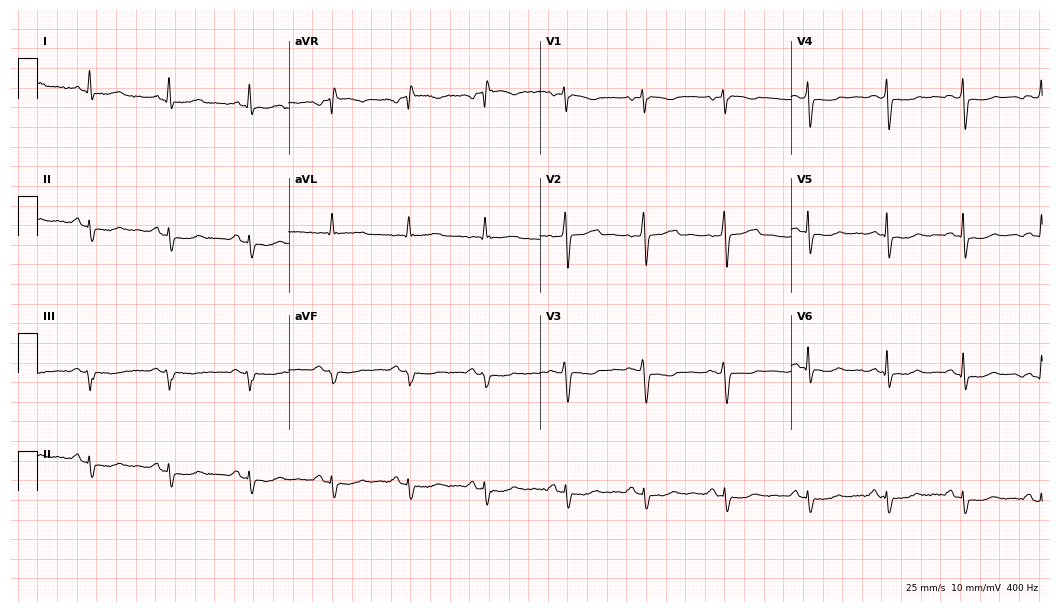
12-lead ECG (10.2-second recording at 400 Hz) from a 44-year-old female. Screened for six findings — first-degree AV block, right bundle branch block (RBBB), left bundle branch block (LBBB), sinus bradycardia, atrial fibrillation (AF), sinus tachycardia — none is recorded.